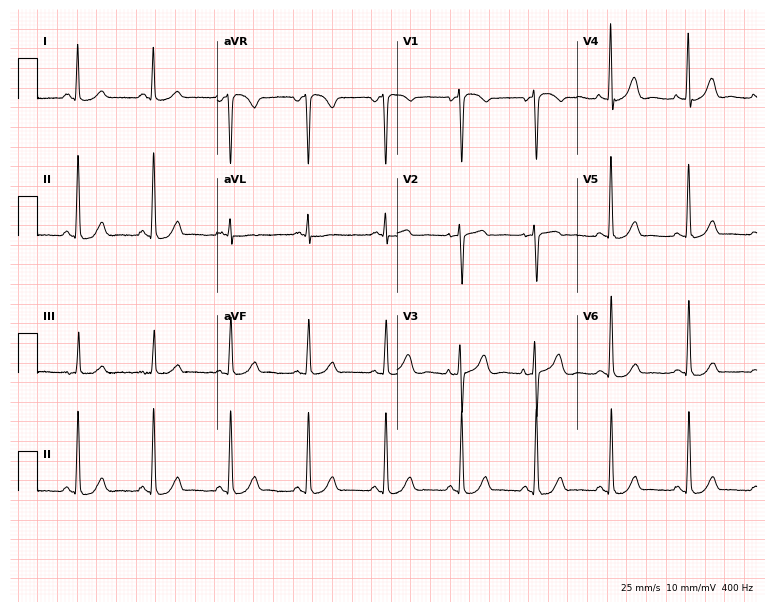
Electrocardiogram (7.3-second recording at 400 Hz), a 66-year-old female. Overall reading on record: normal ECG.